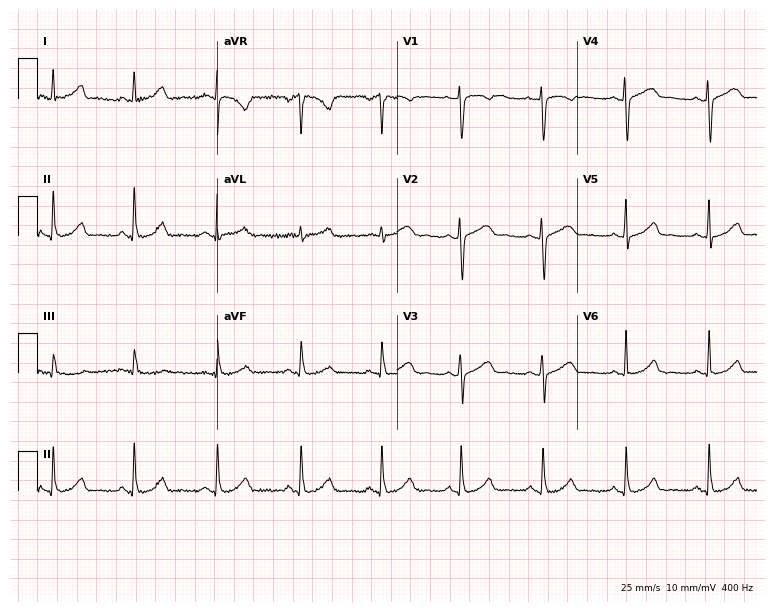
Resting 12-lead electrocardiogram. Patient: a 34-year-old female. Read as a normal ECG.